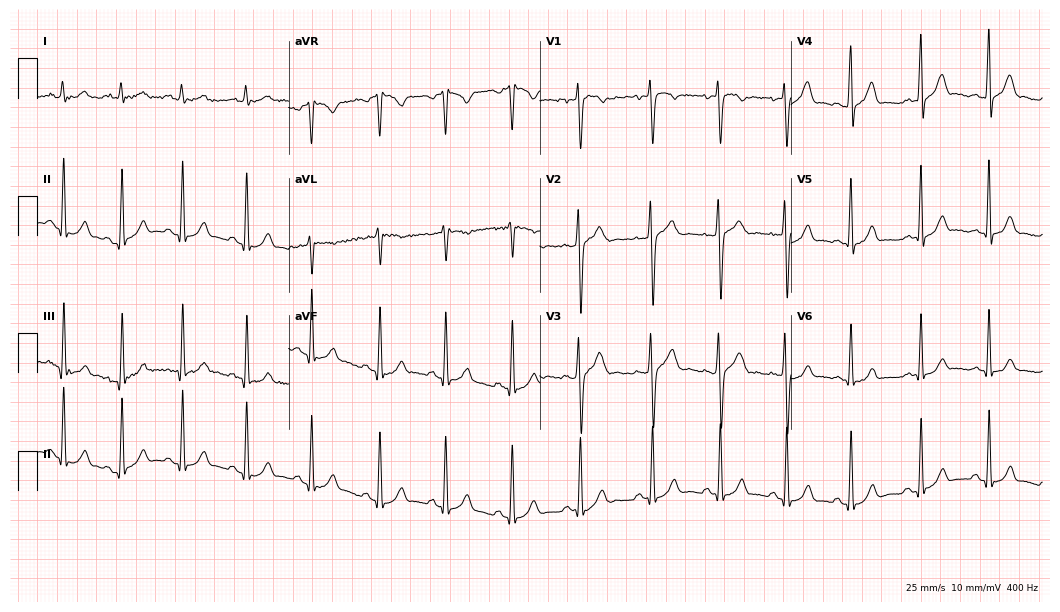
ECG — a man, 18 years old. Labelled as a normal ECG.